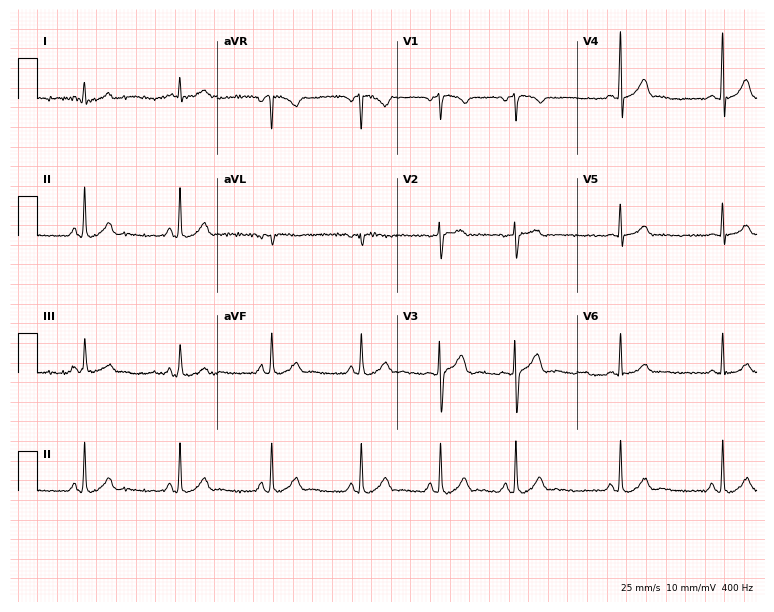
Resting 12-lead electrocardiogram (7.3-second recording at 400 Hz). Patient: a man, 25 years old. Read as a normal ECG.